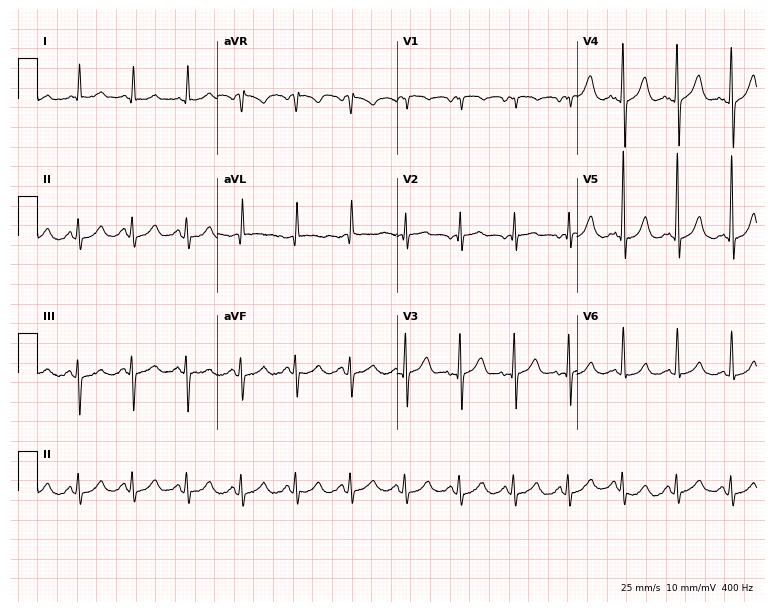
12-lead ECG from a 73-year-old male. Shows sinus tachycardia (a sinus rate of 100 beats per minute or more).